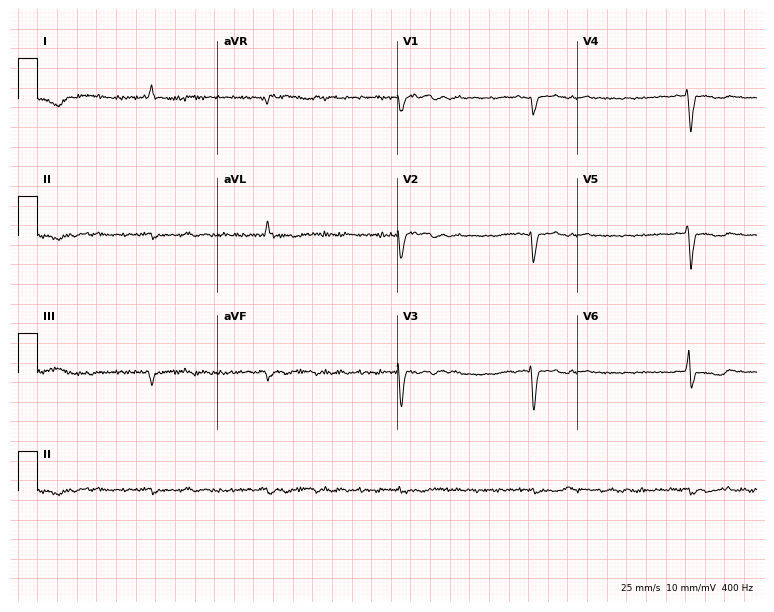
12-lead ECG from a man, 80 years old. Shows atrial fibrillation (AF).